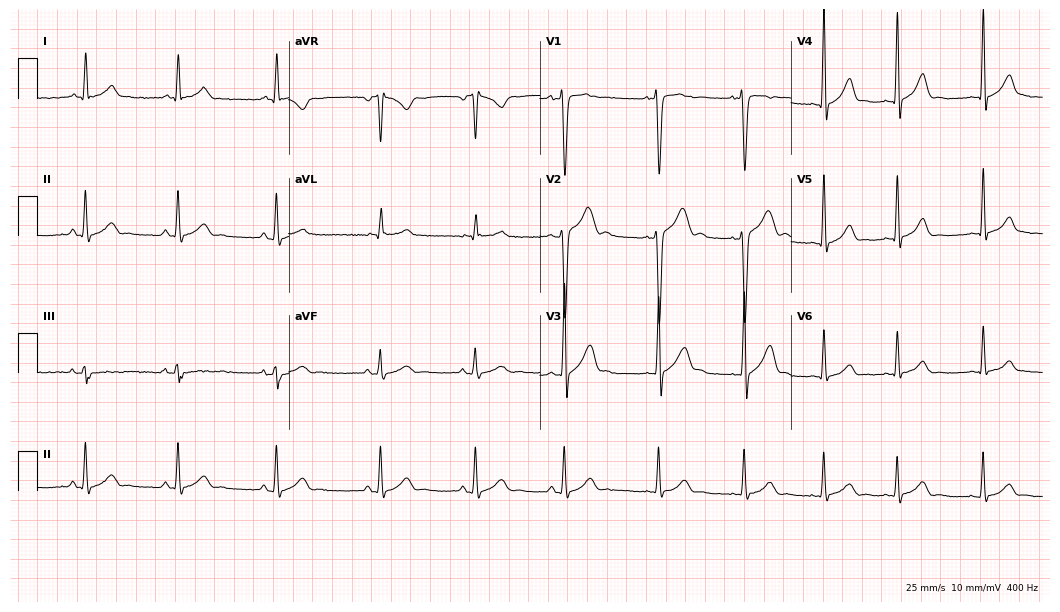
ECG — a man, 19 years old. Screened for six findings — first-degree AV block, right bundle branch block, left bundle branch block, sinus bradycardia, atrial fibrillation, sinus tachycardia — none is recorded.